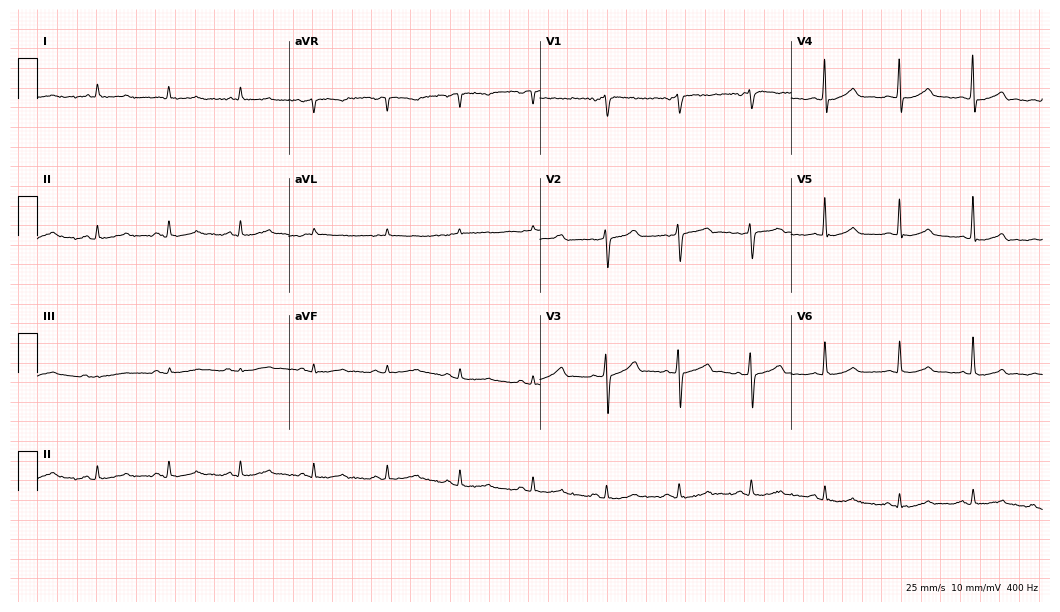
12-lead ECG from a man, 85 years old. Screened for six findings — first-degree AV block, right bundle branch block, left bundle branch block, sinus bradycardia, atrial fibrillation, sinus tachycardia — none is recorded.